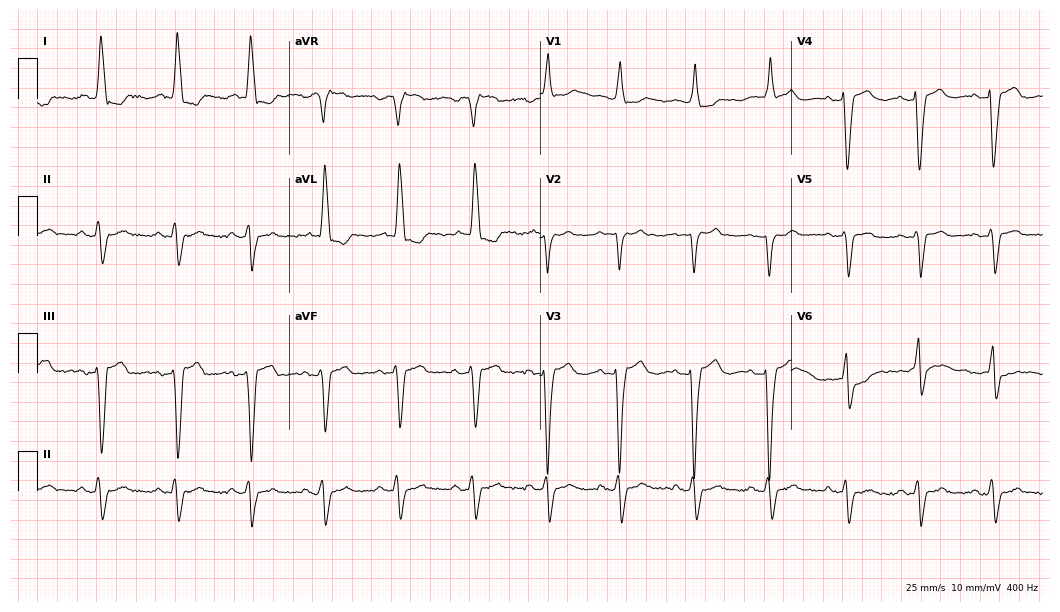
12-lead ECG from a 64-year-old male (10.2-second recording at 400 Hz). Shows left bundle branch block (LBBB).